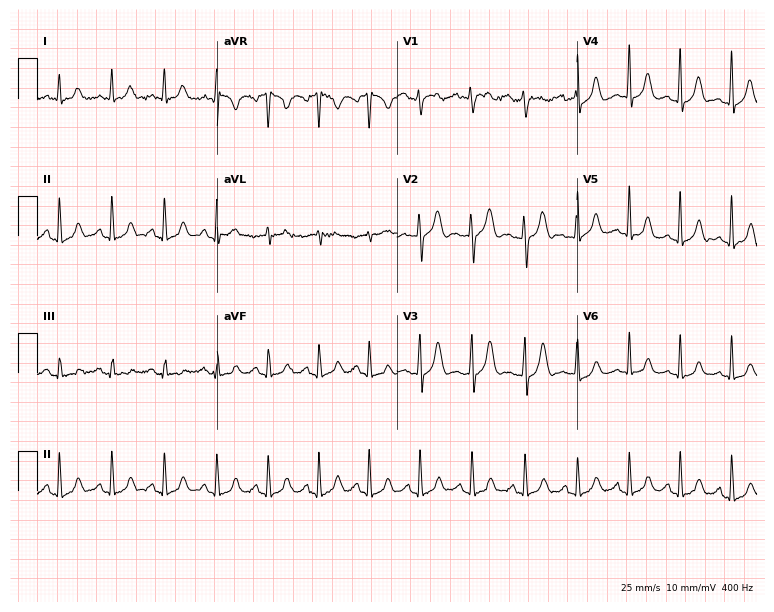
ECG — a female, 19 years old. Screened for six findings — first-degree AV block, right bundle branch block, left bundle branch block, sinus bradycardia, atrial fibrillation, sinus tachycardia — none is recorded. Findings outside these six are not listed.